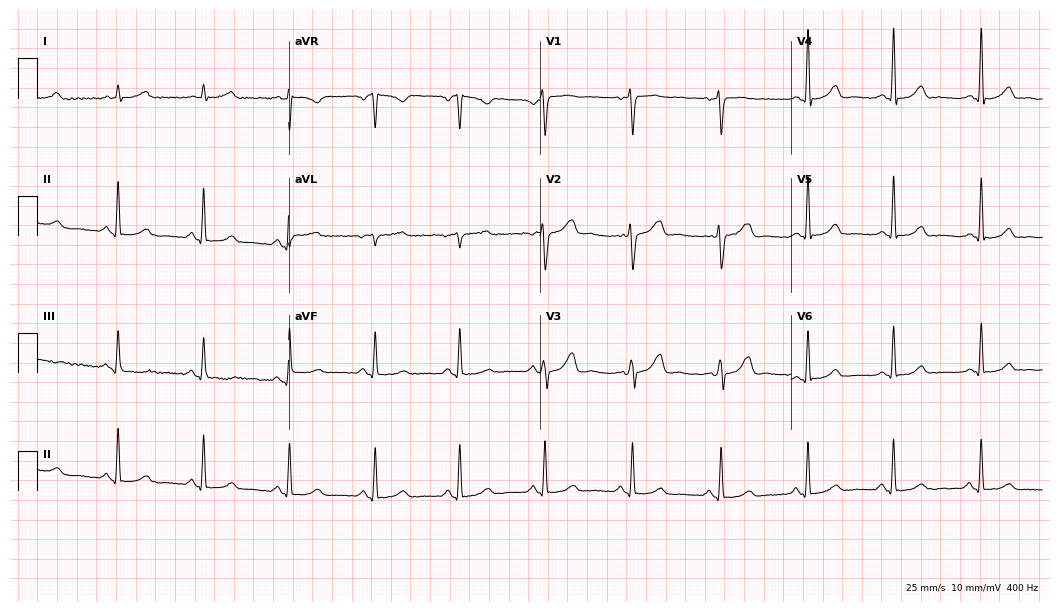
Electrocardiogram, a 48-year-old female. Overall reading on record: normal ECG.